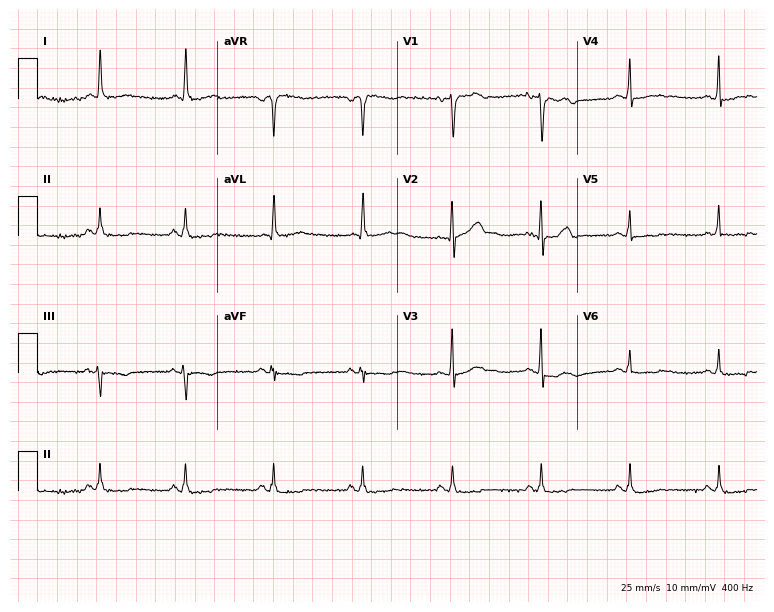
ECG — a 62-year-old man. Screened for six findings — first-degree AV block, right bundle branch block (RBBB), left bundle branch block (LBBB), sinus bradycardia, atrial fibrillation (AF), sinus tachycardia — none is recorded.